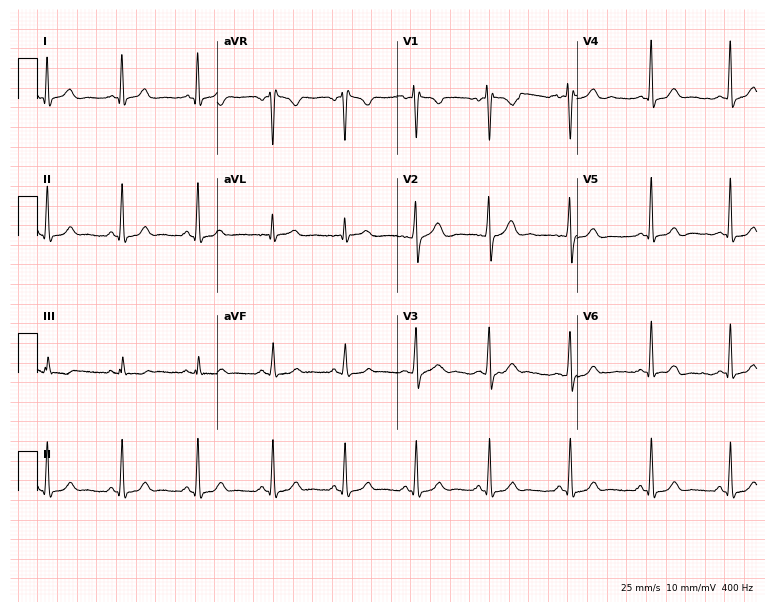
12-lead ECG from a 26-year-old woman. Labelled as a normal ECG.